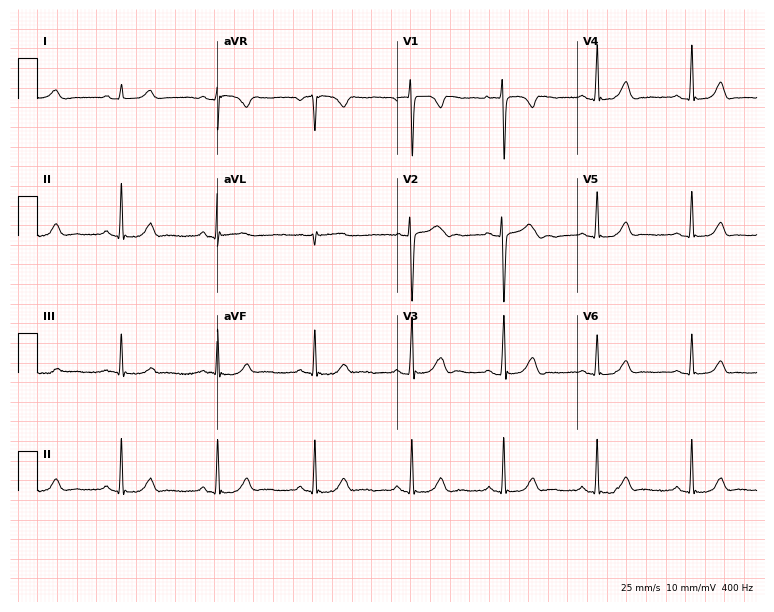
Standard 12-lead ECG recorded from a 22-year-old female (7.3-second recording at 400 Hz). Read as a normal ECG.